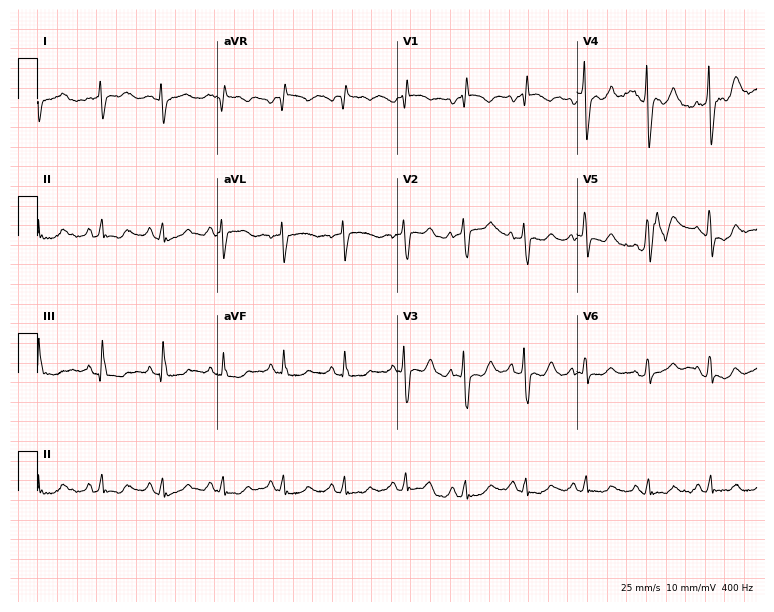
12-lead ECG from a female, 83 years old. No first-degree AV block, right bundle branch block (RBBB), left bundle branch block (LBBB), sinus bradycardia, atrial fibrillation (AF) or sinus tachycardia recorded for this tracing.